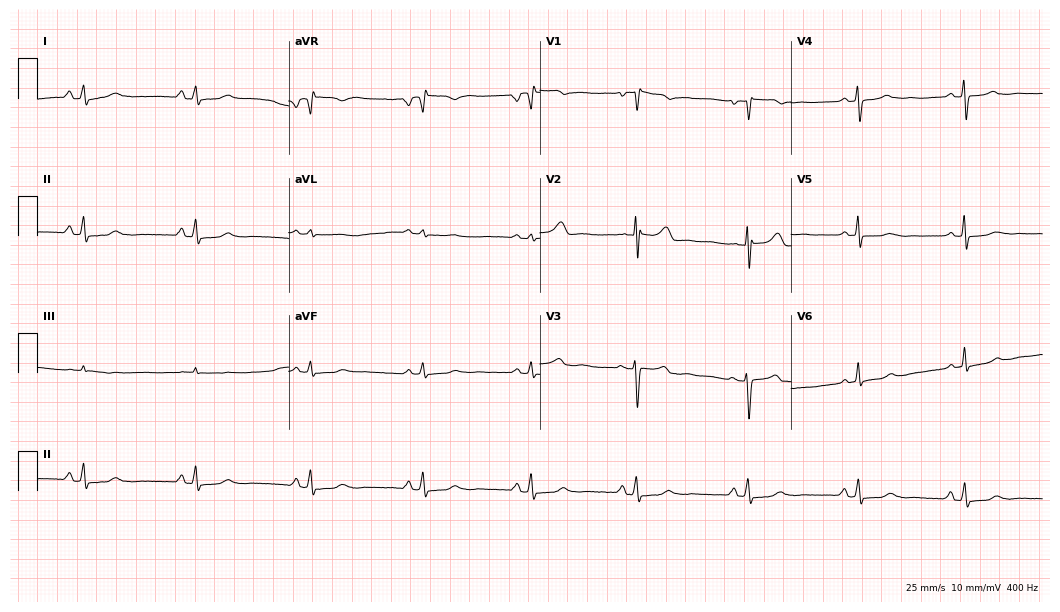
ECG — a female patient, 45 years old. Screened for six findings — first-degree AV block, right bundle branch block, left bundle branch block, sinus bradycardia, atrial fibrillation, sinus tachycardia — none is recorded. Other findings, if any, are not listed.